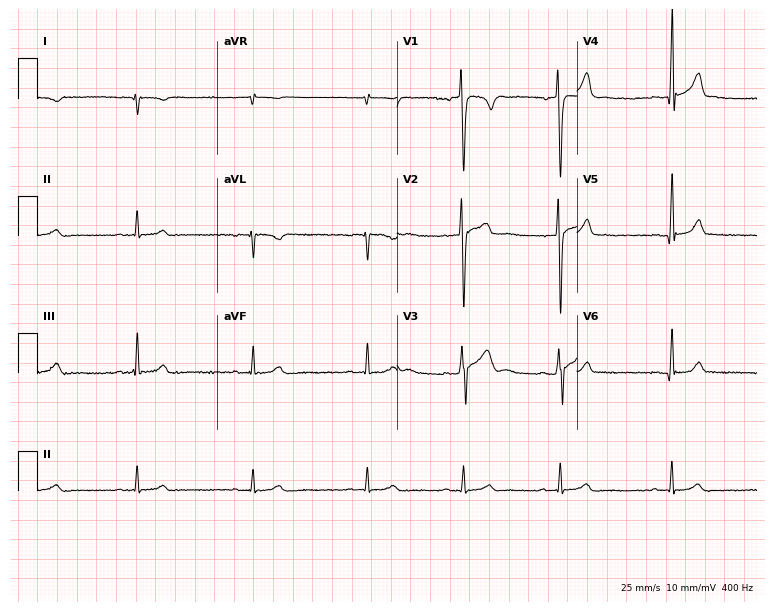
12-lead ECG from a 19-year-old male. No first-degree AV block, right bundle branch block (RBBB), left bundle branch block (LBBB), sinus bradycardia, atrial fibrillation (AF) or sinus tachycardia recorded for this tracing.